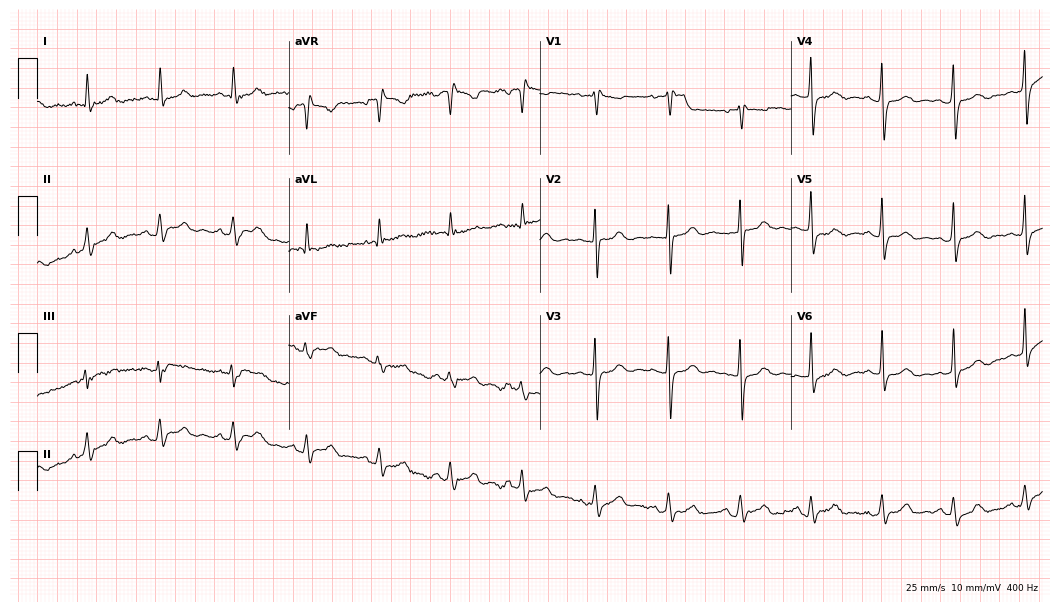
Standard 12-lead ECG recorded from a female, 61 years old (10.2-second recording at 400 Hz). None of these six findings is recorded: first-degree AV block, right bundle branch block (RBBB), left bundle branch block (LBBB), sinus bradycardia, atrial fibrillation (AF), sinus tachycardia. Findings outside these six are not listed.